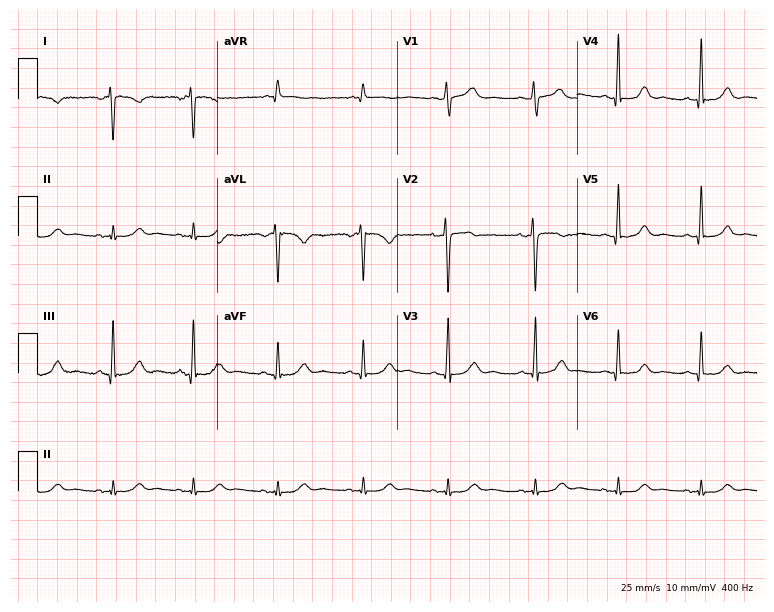
12-lead ECG from a woman, 32 years old (7.3-second recording at 400 Hz). No first-degree AV block, right bundle branch block, left bundle branch block, sinus bradycardia, atrial fibrillation or sinus tachycardia recorded for this tracing. Only these six findings were labelled.